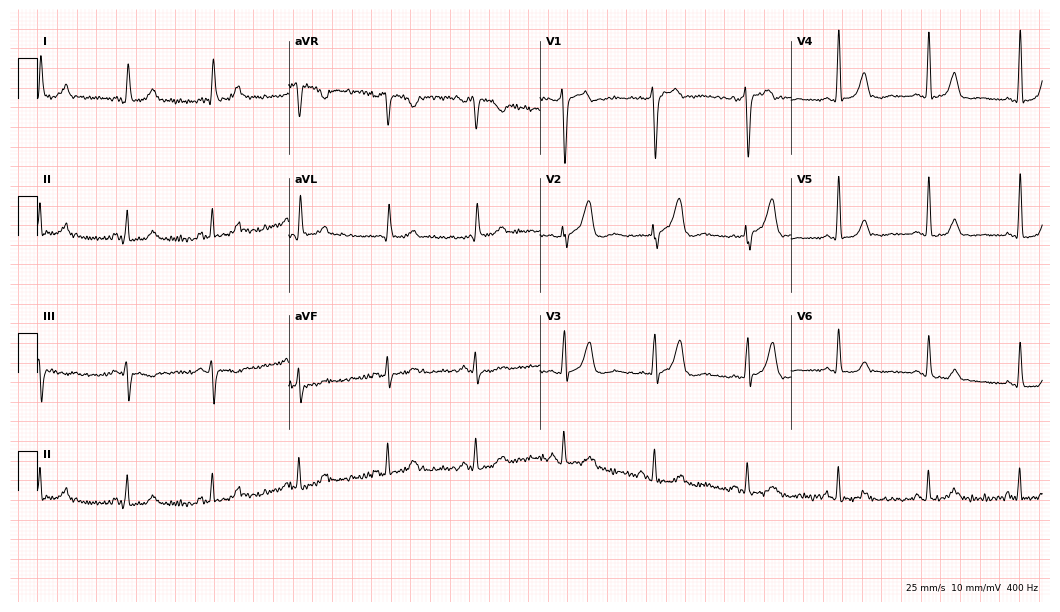
Resting 12-lead electrocardiogram (10.2-second recording at 400 Hz). Patient: a 71-year-old male. None of these six findings is recorded: first-degree AV block, right bundle branch block, left bundle branch block, sinus bradycardia, atrial fibrillation, sinus tachycardia. Other findings, if any, are not listed.